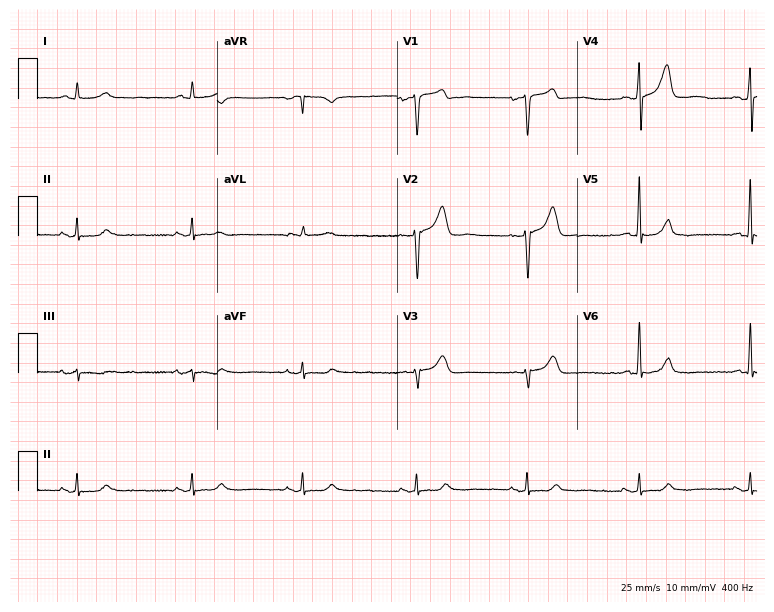
ECG (7.3-second recording at 400 Hz) — a 74-year-old male. Screened for six findings — first-degree AV block, right bundle branch block, left bundle branch block, sinus bradycardia, atrial fibrillation, sinus tachycardia — none is recorded.